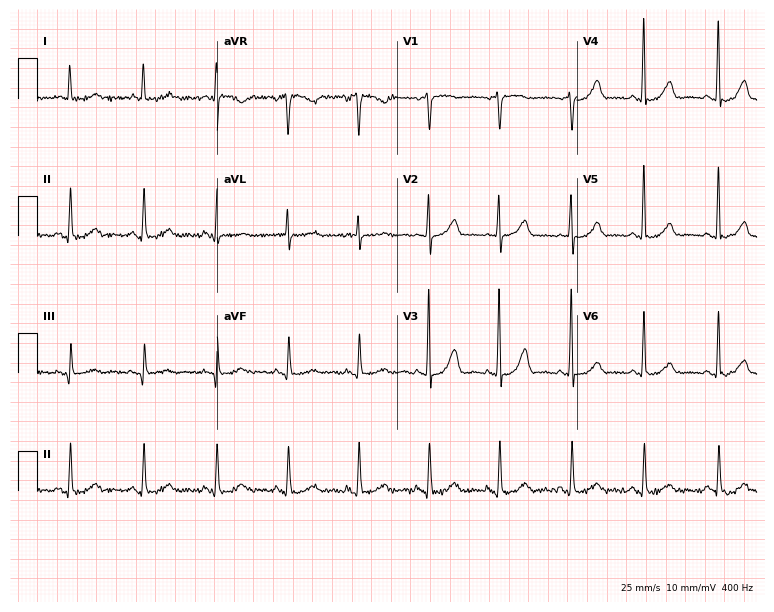
12-lead ECG from a female, 84 years old. Recorded interpretation: within normal limits.